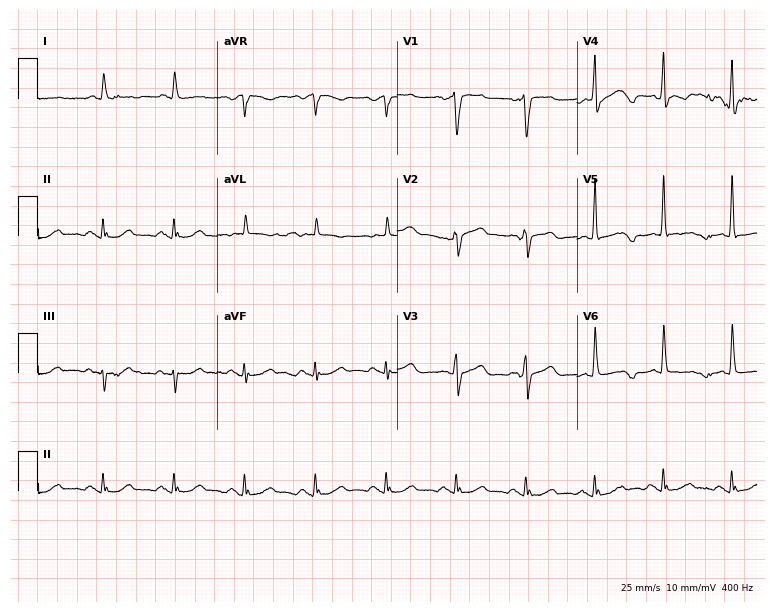
ECG (7.3-second recording at 400 Hz) — a 61-year-old male. Labelled as a normal ECG.